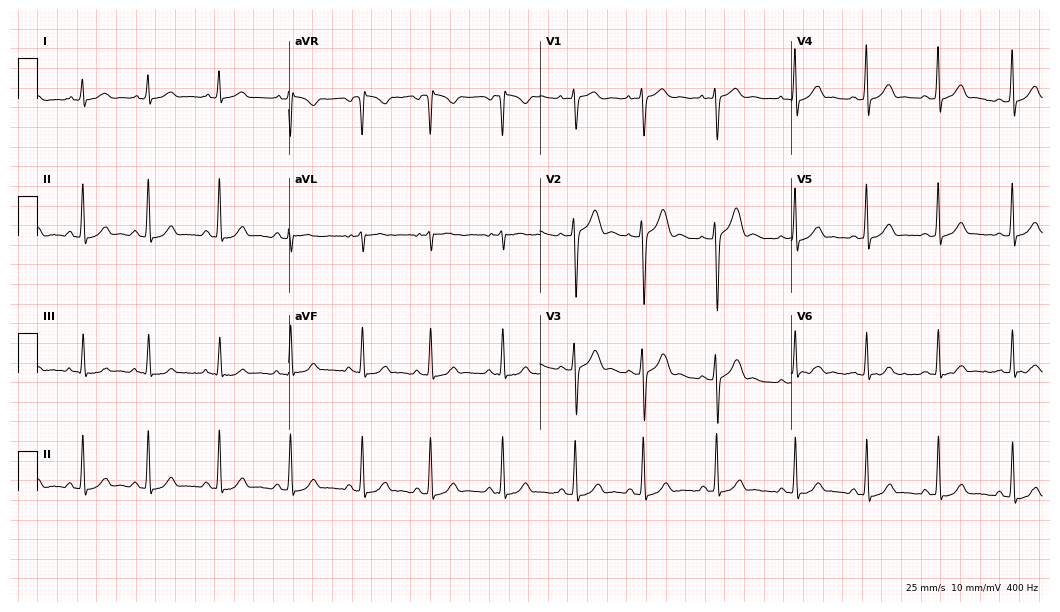
Standard 12-lead ECG recorded from a female patient, 18 years old (10.2-second recording at 400 Hz). Read as a normal ECG.